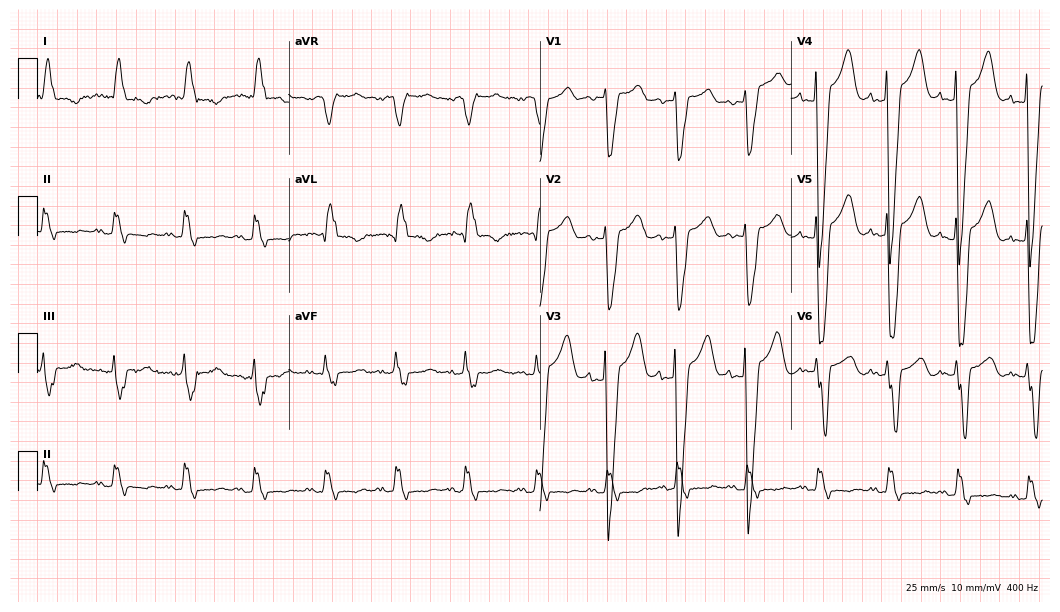
ECG (10.2-second recording at 400 Hz) — a 77-year-old woman. Screened for six findings — first-degree AV block, right bundle branch block (RBBB), left bundle branch block (LBBB), sinus bradycardia, atrial fibrillation (AF), sinus tachycardia — none is recorded.